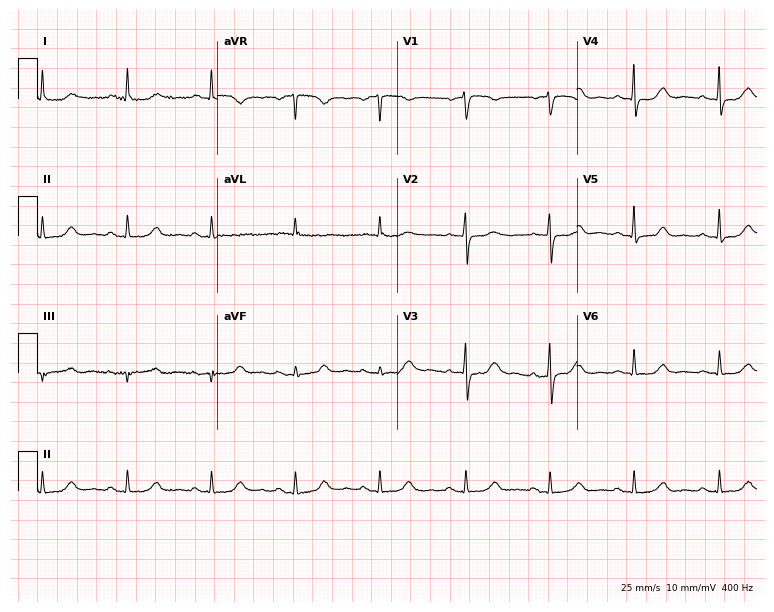
ECG — a 69-year-old female patient. Labelled as a normal ECG.